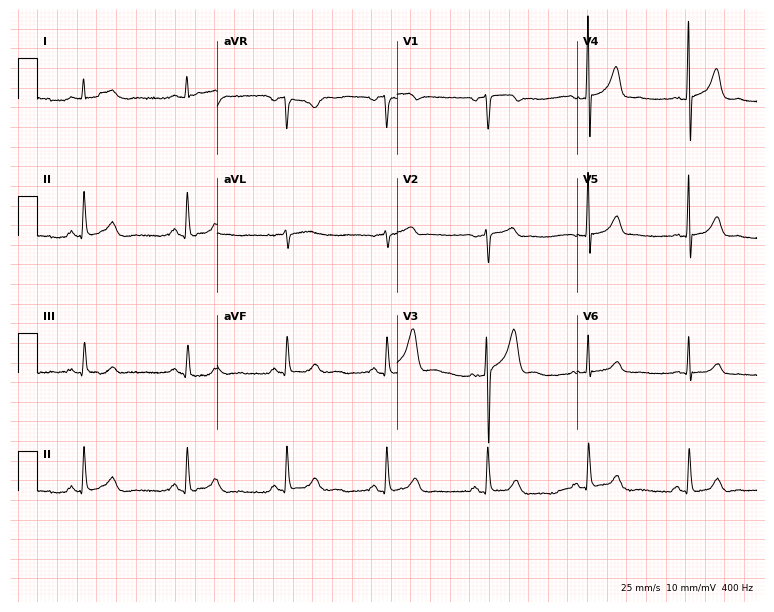
12-lead ECG from a 72-year-old man. Recorded interpretation: within normal limits.